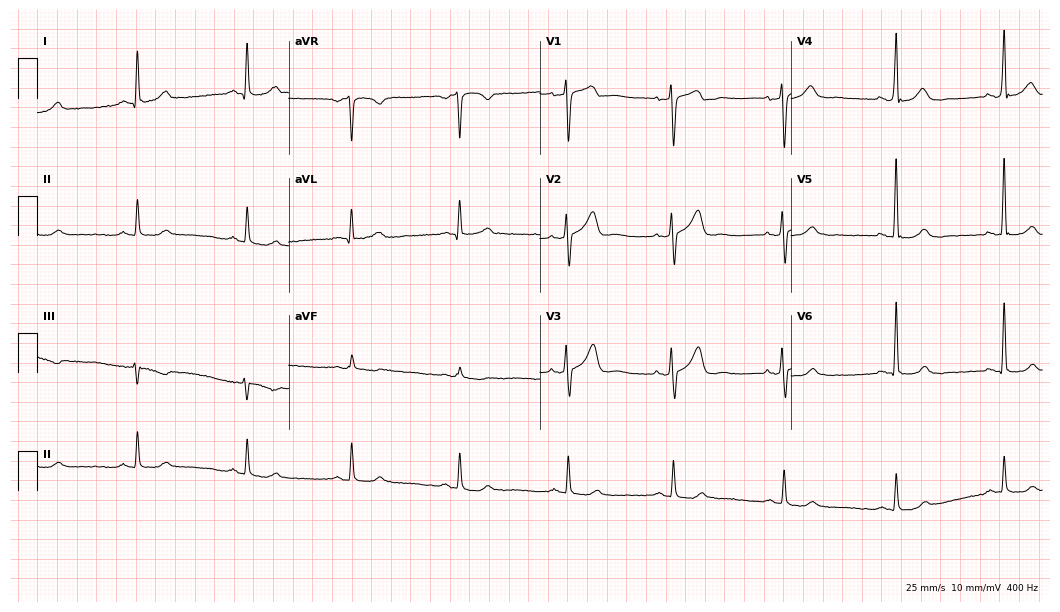
Electrocardiogram (10.2-second recording at 400 Hz), a 65-year-old man. Of the six screened findings (first-degree AV block, right bundle branch block (RBBB), left bundle branch block (LBBB), sinus bradycardia, atrial fibrillation (AF), sinus tachycardia), none is recorded.